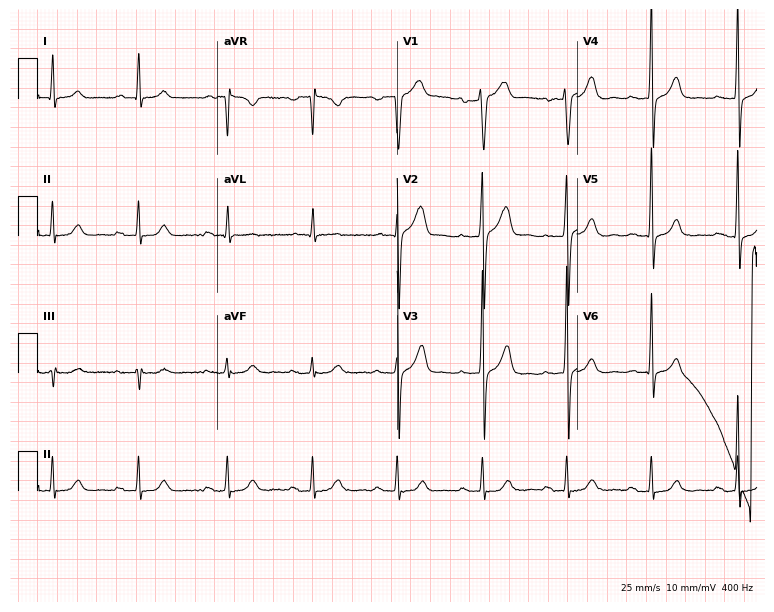
ECG — a 47-year-old male. Findings include first-degree AV block.